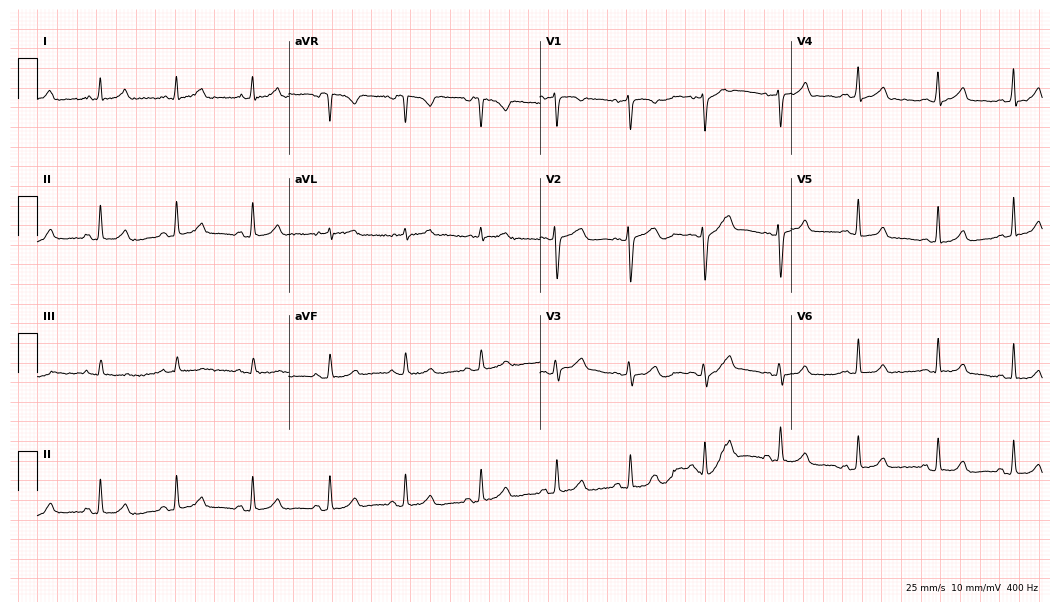
Resting 12-lead electrocardiogram (10.2-second recording at 400 Hz). Patient: a female, 32 years old. Read as a normal ECG.